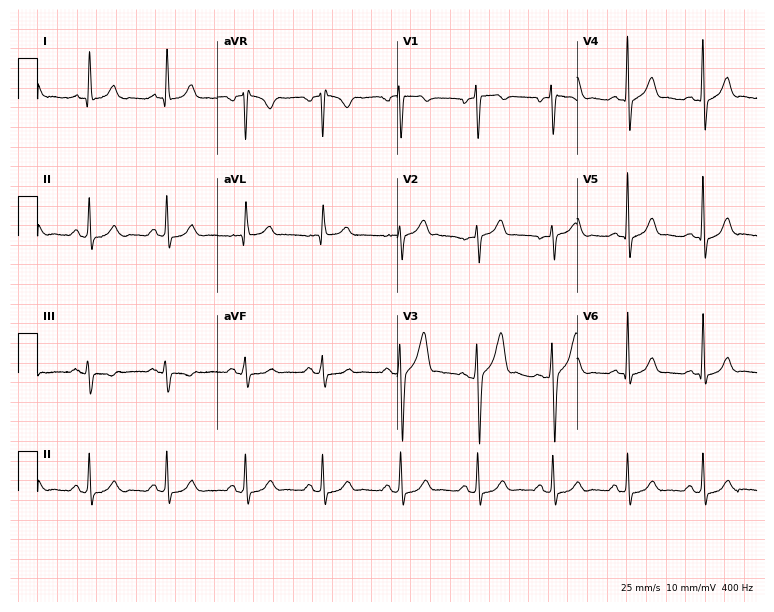
12-lead ECG from a 51-year-old man (7.3-second recording at 400 Hz). No first-degree AV block, right bundle branch block, left bundle branch block, sinus bradycardia, atrial fibrillation or sinus tachycardia recorded for this tracing. Findings outside these six are not listed.